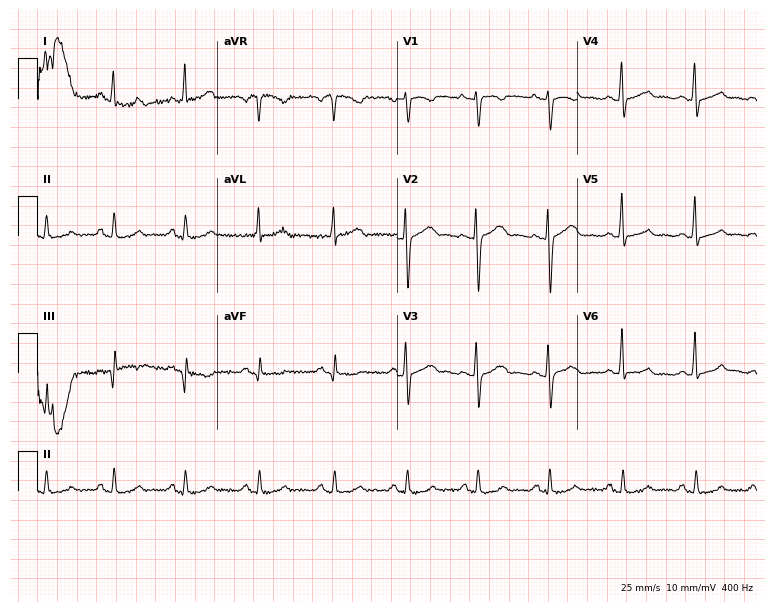
ECG (7.3-second recording at 400 Hz) — a woman, 57 years old. Screened for six findings — first-degree AV block, right bundle branch block, left bundle branch block, sinus bradycardia, atrial fibrillation, sinus tachycardia — none is recorded. Other findings, if any, are not listed.